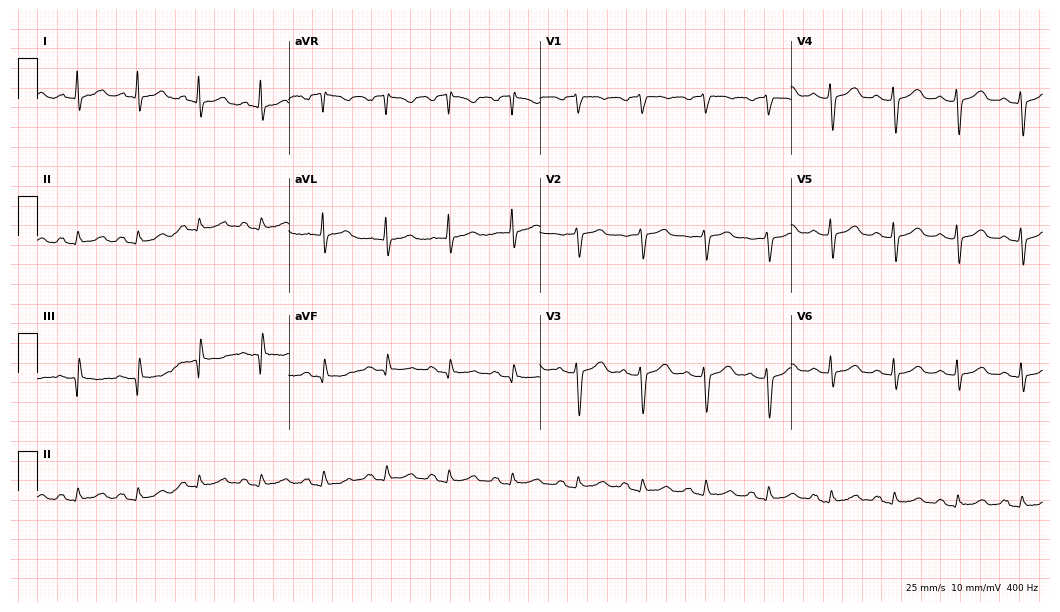
Electrocardiogram, a female patient, 57 years old. Of the six screened findings (first-degree AV block, right bundle branch block, left bundle branch block, sinus bradycardia, atrial fibrillation, sinus tachycardia), none is recorded.